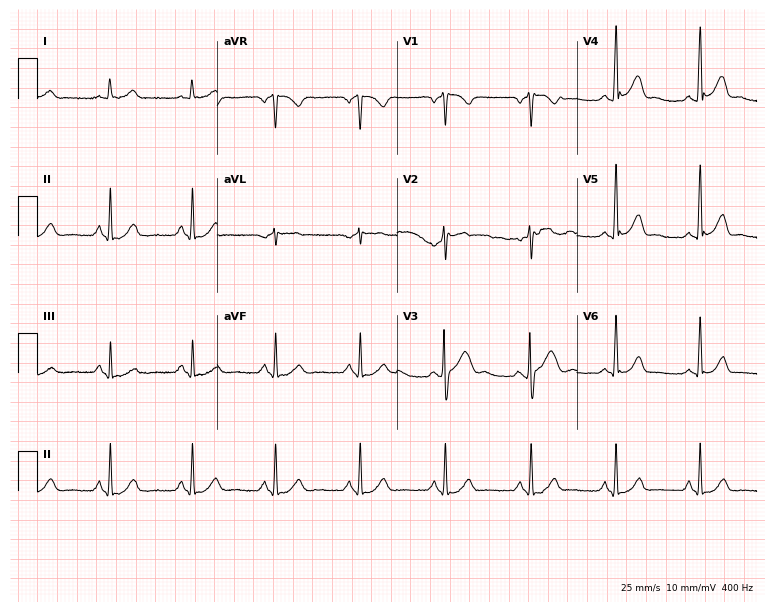
Resting 12-lead electrocardiogram. Patient: a male, 51 years old. None of these six findings is recorded: first-degree AV block, right bundle branch block, left bundle branch block, sinus bradycardia, atrial fibrillation, sinus tachycardia.